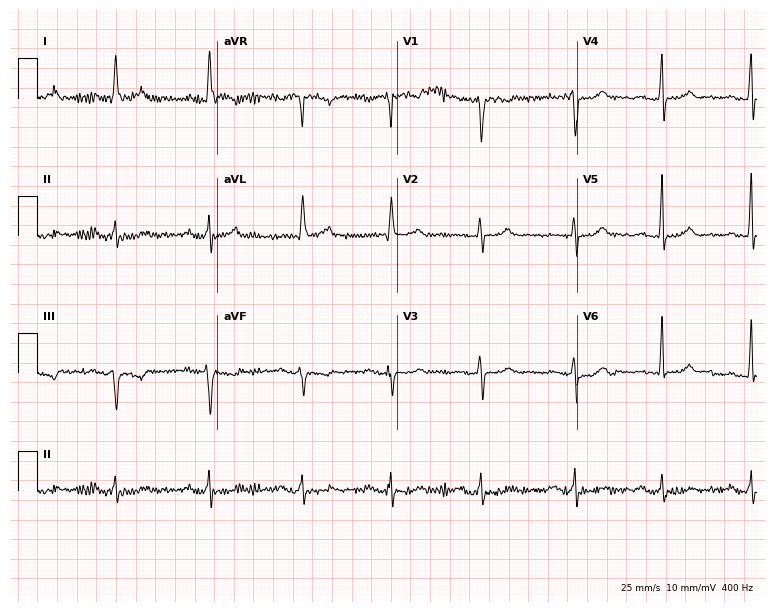
ECG (7.3-second recording at 400 Hz) — a 60-year-old female. Screened for six findings — first-degree AV block, right bundle branch block, left bundle branch block, sinus bradycardia, atrial fibrillation, sinus tachycardia — none is recorded.